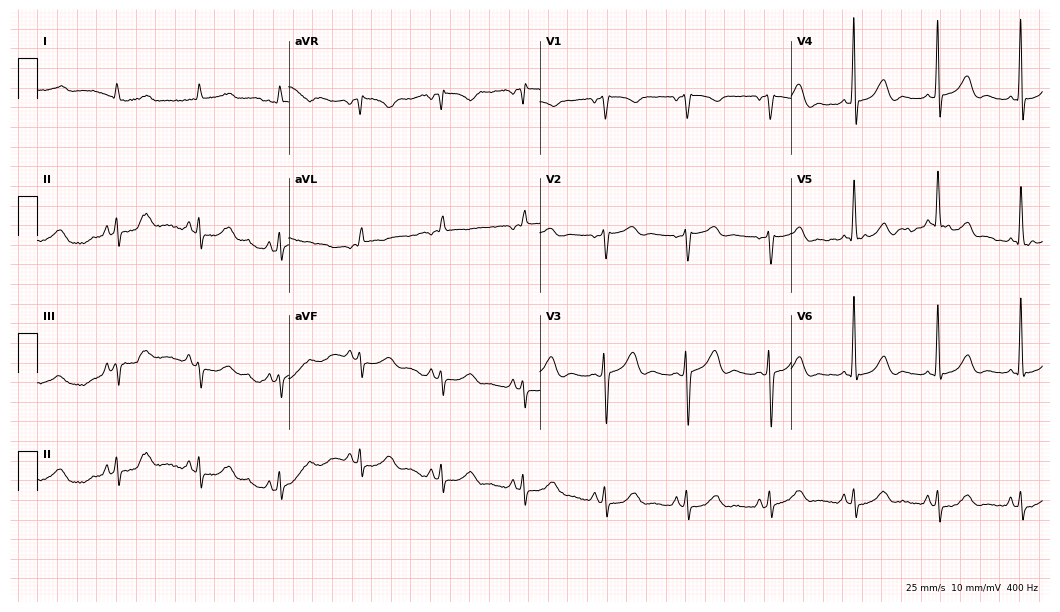
Electrocardiogram (10.2-second recording at 400 Hz), an 83-year-old male patient. Of the six screened findings (first-degree AV block, right bundle branch block, left bundle branch block, sinus bradycardia, atrial fibrillation, sinus tachycardia), none is recorded.